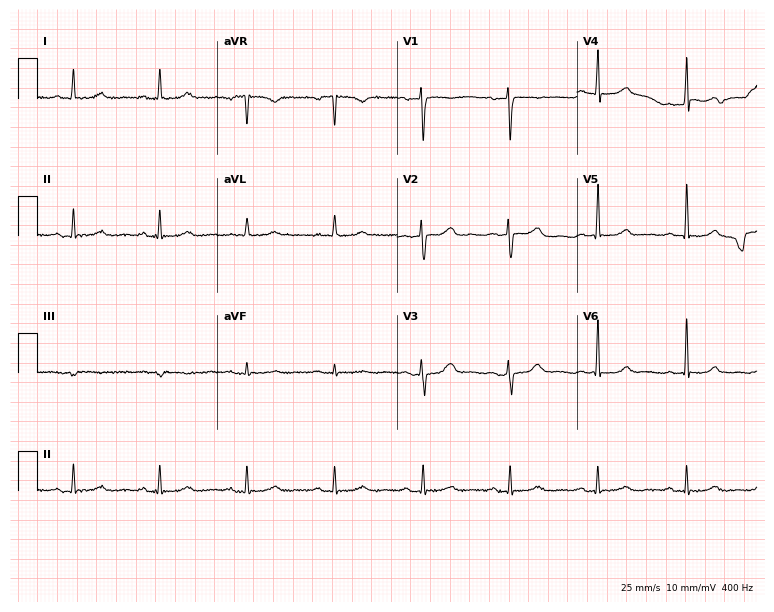
12-lead ECG from a female patient, 52 years old (7.3-second recording at 400 Hz). Recorded interpretation: within normal limits.